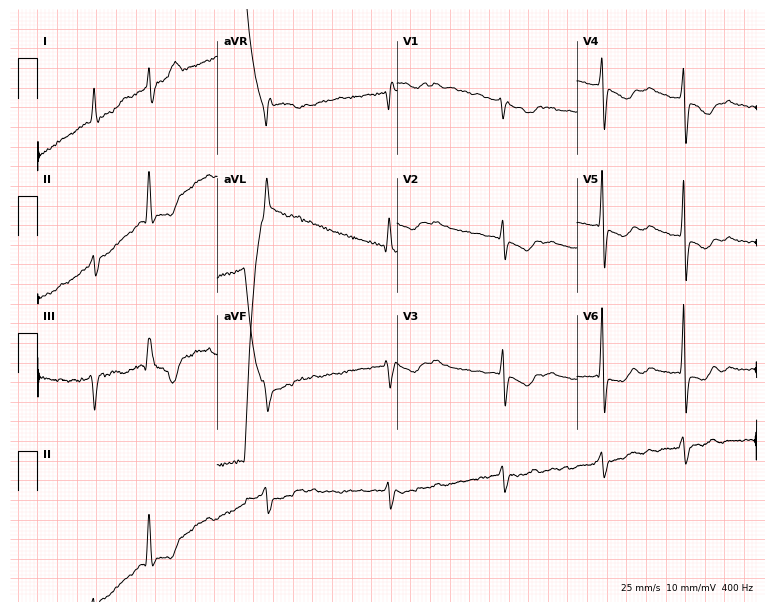
Resting 12-lead electrocardiogram (7.3-second recording at 400 Hz). Patient: a female, 83 years old. The tracing shows atrial fibrillation.